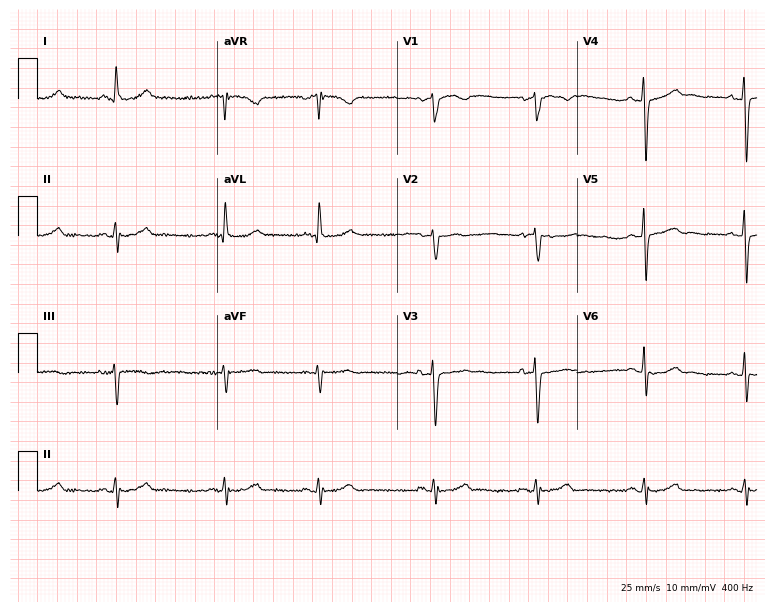
Resting 12-lead electrocardiogram. Patient: a female, 63 years old. None of these six findings is recorded: first-degree AV block, right bundle branch block, left bundle branch block, sinus bradycardia, atrial fibrillation, sinus tachycardia.